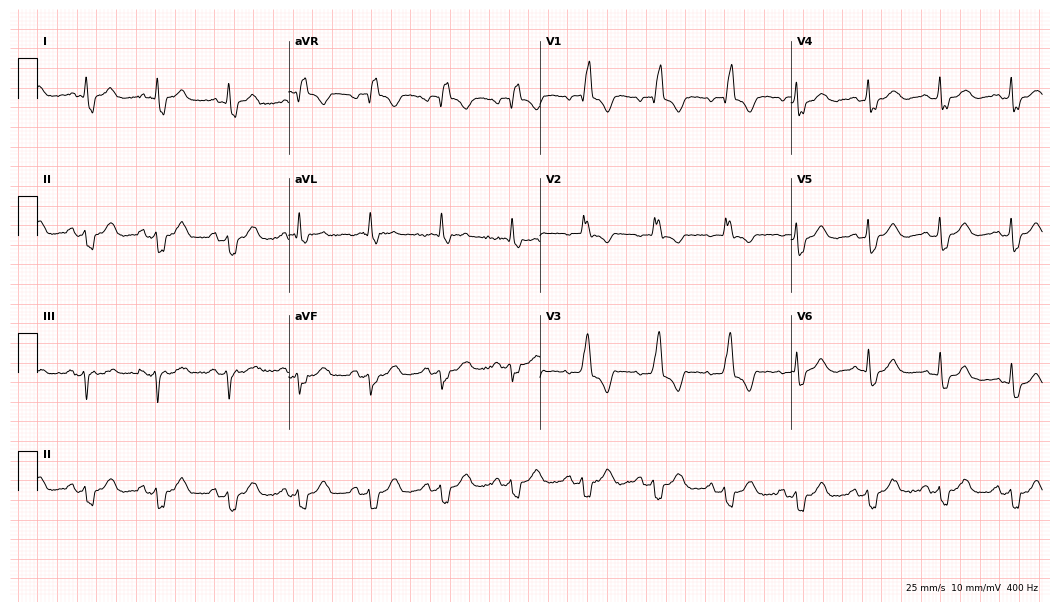
12-lead ECG from a 67-year-old woman. Findings include right bundle branch block.